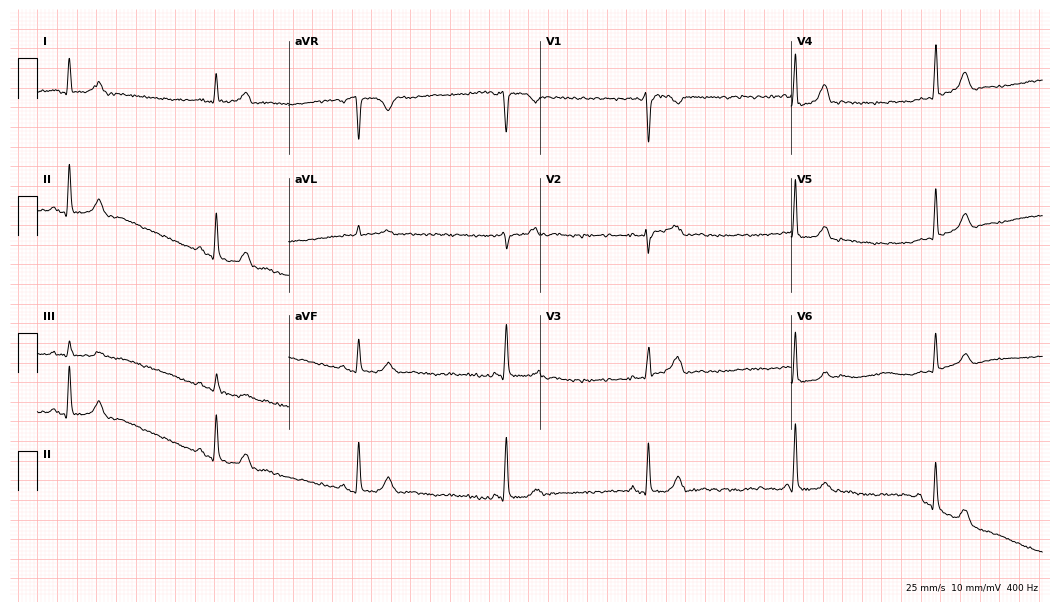
ECG — a 42-year-old woman. Findings include sinus bradycardia (a sinus rate of 50 beats per minute or less).